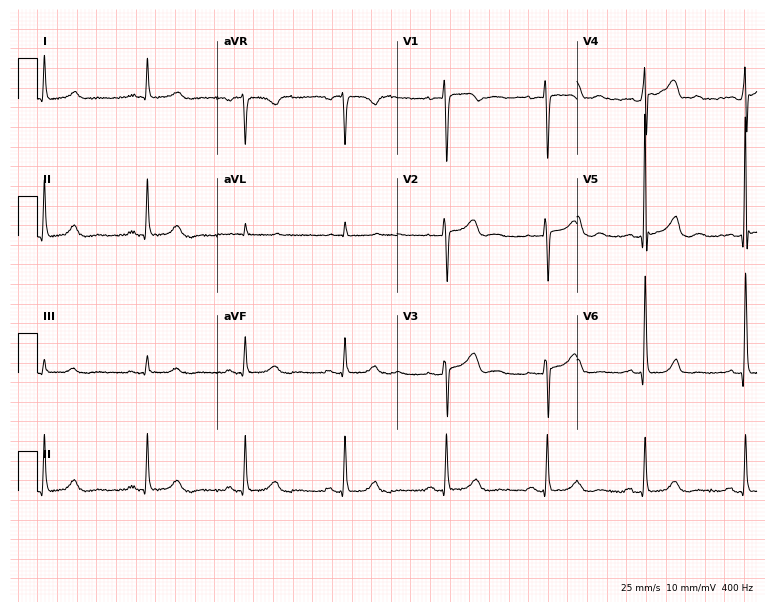
Resting 12-lead electrocardiogram (7.3-second recording at 400 Hz). Patient: a 44-year-old female. None of these six findings is recorded: first-degree AV block, right bundle branch block, left bundle branch block, sinus bradycardia, atrial fibrillation, sinus tachycardia. Other findings, if any, are not listed.